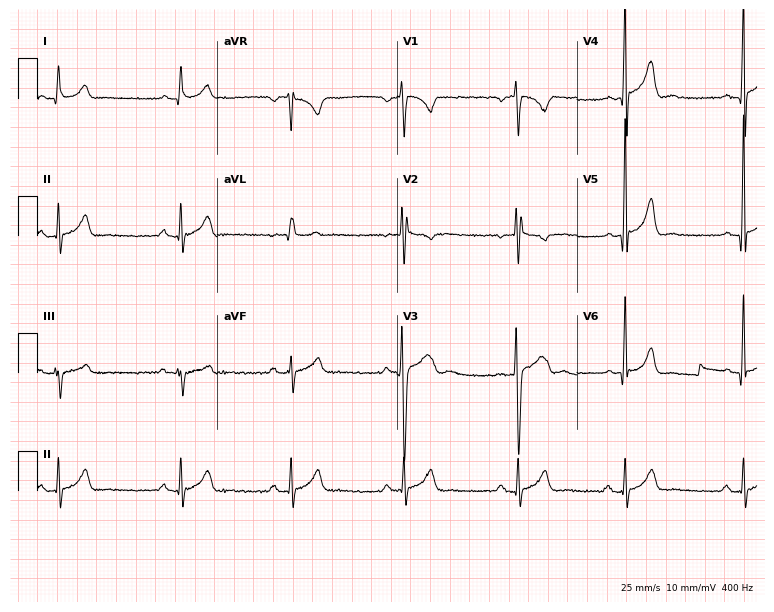
ECG — a 26-year-old male. Labelled as a normal ECG.